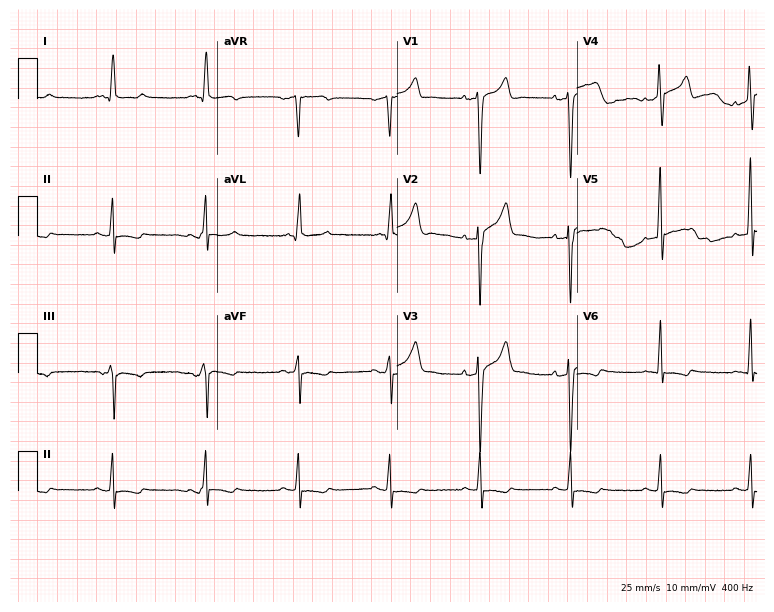
ECG — a 58-year-old male. Screened for six findings — first-degree AV block, right bundle branch block, left bundle branch block, sinus bradycardia, atrial fibrillation, sinus tachycardia — none is recorded. Findings outside these six are not listed.